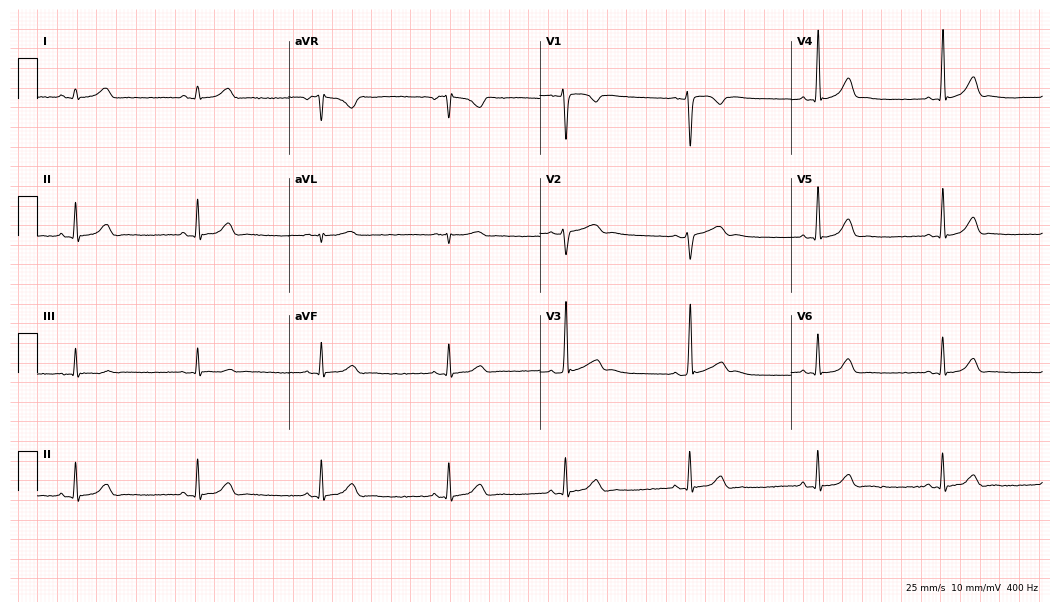
12-lead ECG from a 21-year-old woman. Recorded interpretation: within normal limits.